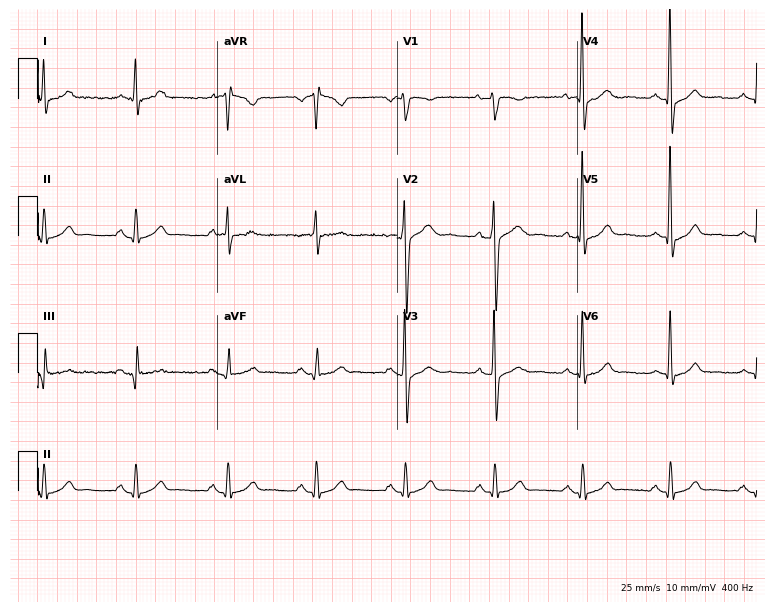
12-lead ECG from a 53-year-old male patient. No first-degree AV block, right bundle branch block (RBBB), left bundle branch block (LBBB), sinus bradycardia, atrial fibrillation (AF) or sinus tachycardia recorded for this tracing. Only these six findings were labelled.